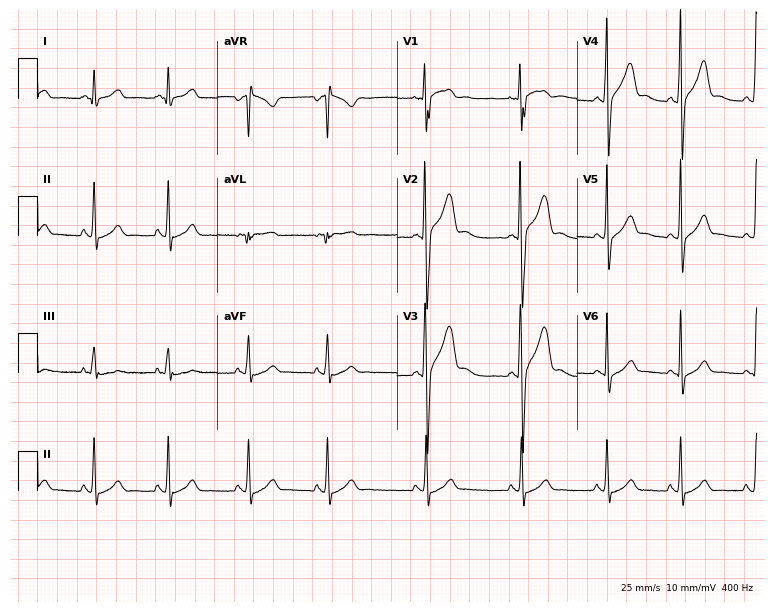
Resting 12-lead electrocardiogram. Patient: a male, 18 years old. Read as a normal ECG.